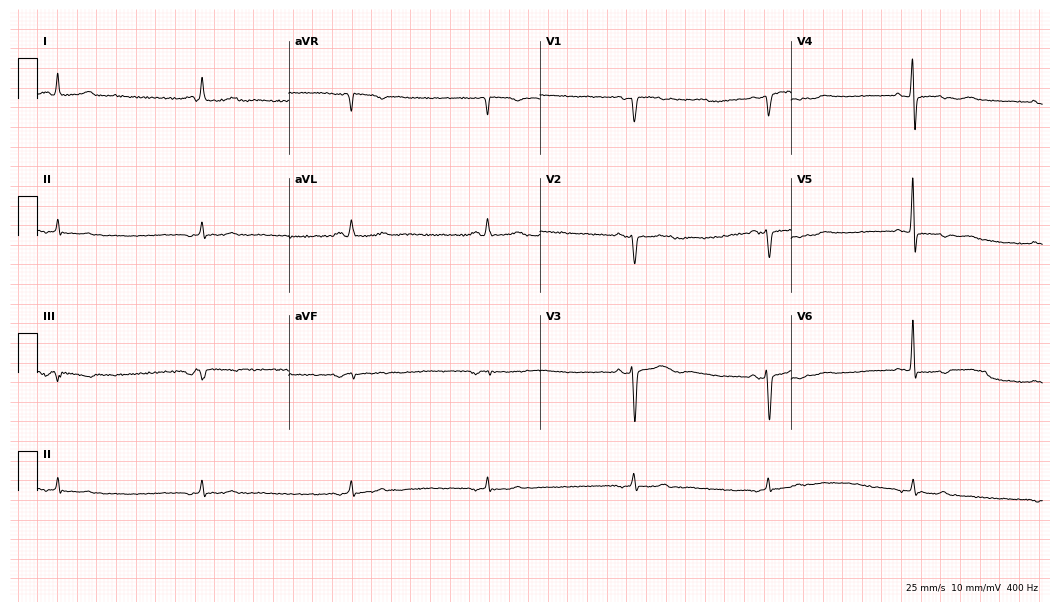
Electrocardiogram (10.2-second recording at 400 Hz), a 66-year-old woman. Of the six screened findings (first-degree AV block, right bundle branch block (RBBB), left bundle branch block (LBBB), sinus bradycardia, atrial fibrillation (AF), sinus tachycardia), none is recorded.